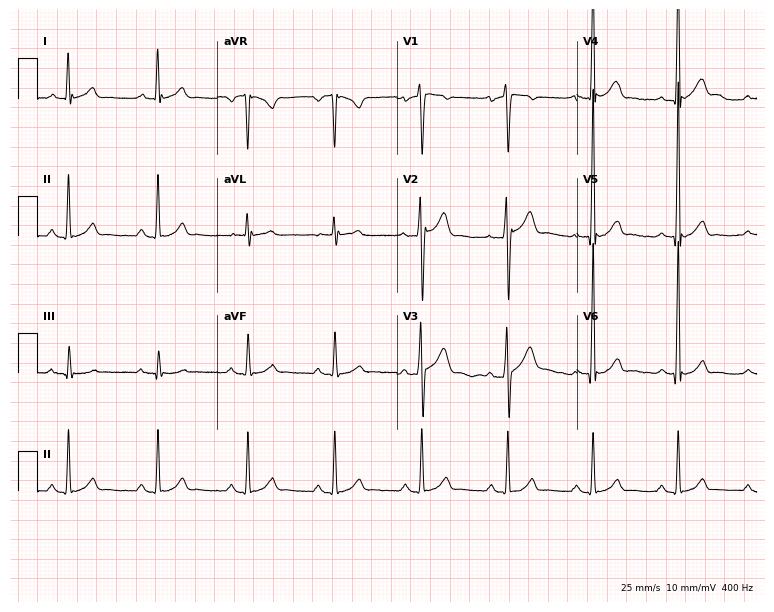
Resting 12-lead electrocardiogram. Patient: a 44-year-old man. None of these six findings is recorded: first-degree AV block, right bundle branch block, left bundle branch block, sinus bradycardia, atrial fibrillation, sinus tachycardia. Only these six findings were labelled.